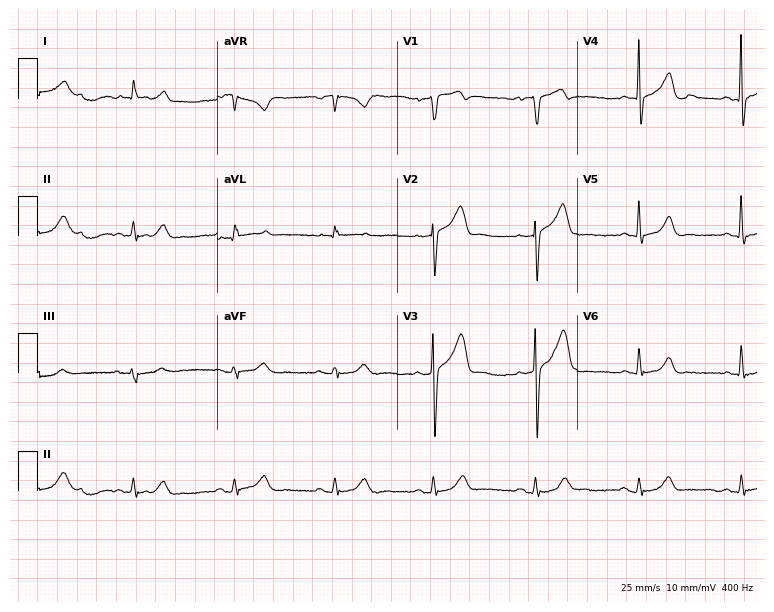
Resting 12-lead electrocardiogram (7.3-second recording at 400 Hz). Patient: a 78-year-old man. None of these six findings is recorded: first-degree AV block, right bundle branch block, left bundle branch block, sinus bradycardia, atrial fibrillation, sinus tachycardia.